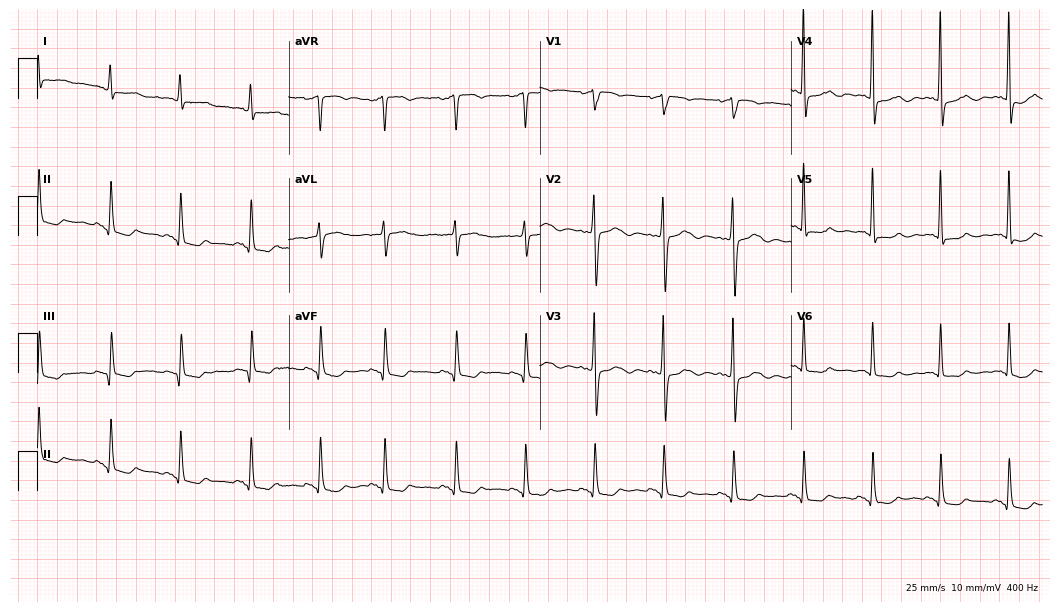
ECG (10.2-second recording at 400 Hz) — a female, 79 years old. Screened for six findings — first-degree AV block, right bundle branch block, left bundle branch block, sinus bradycardia, atrial fibrillation, sinus tachycardia — none is recorded.